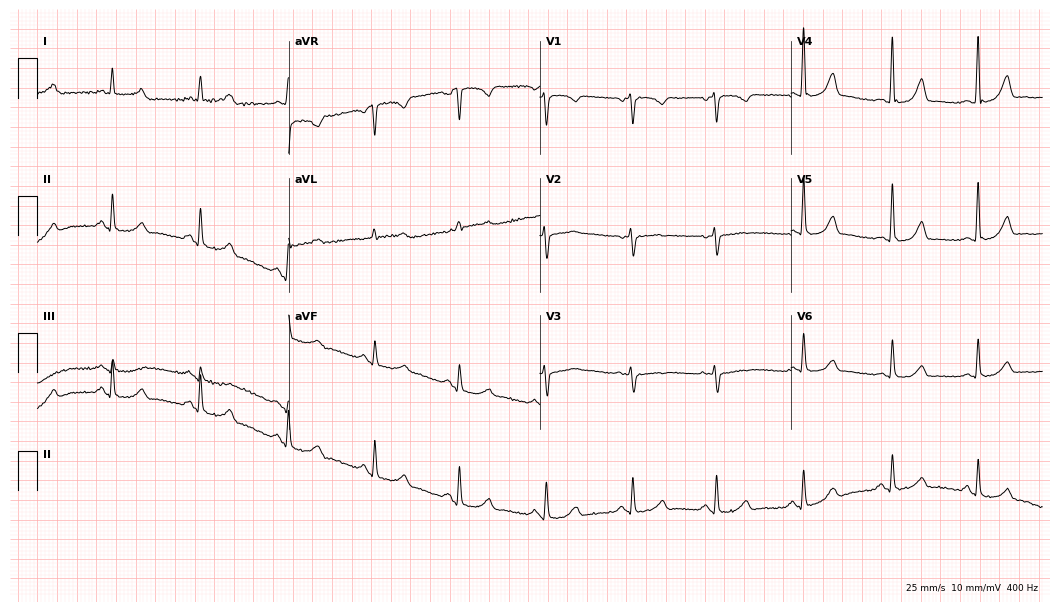
ECG (10.2-second recording at 400 Hz) — a 75-year-old woman. Screened for six findings — first-degree AV block, right bundle branch block, left bundle branch block, sinus bradycardia, atrial fibrillation, sinus tachycardia — none is recorded.